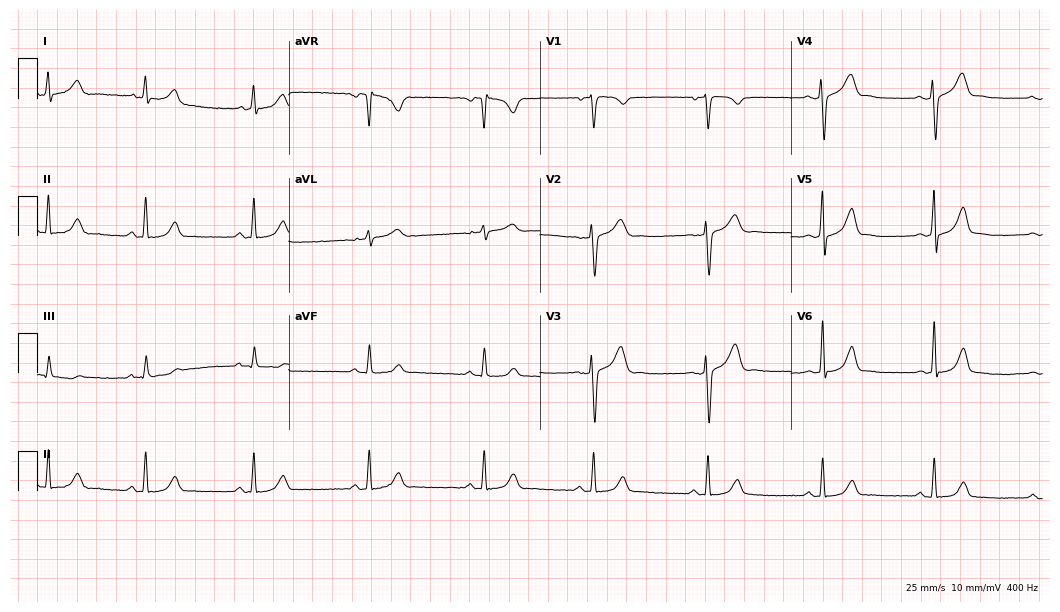
12-lead ECG from a female patient, 28 years old. Labelled as a normal ECG.